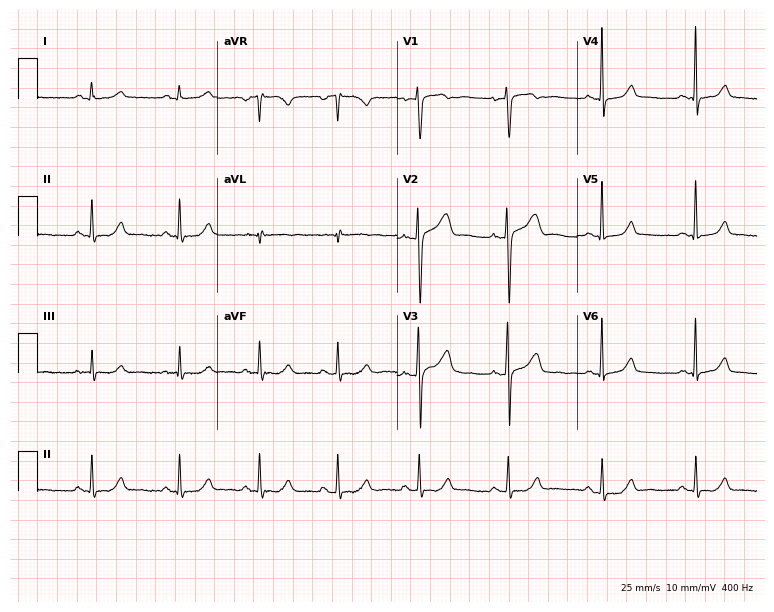
12-lead ECG from a 32-year-old female patient. Labelled as a normal ECG.